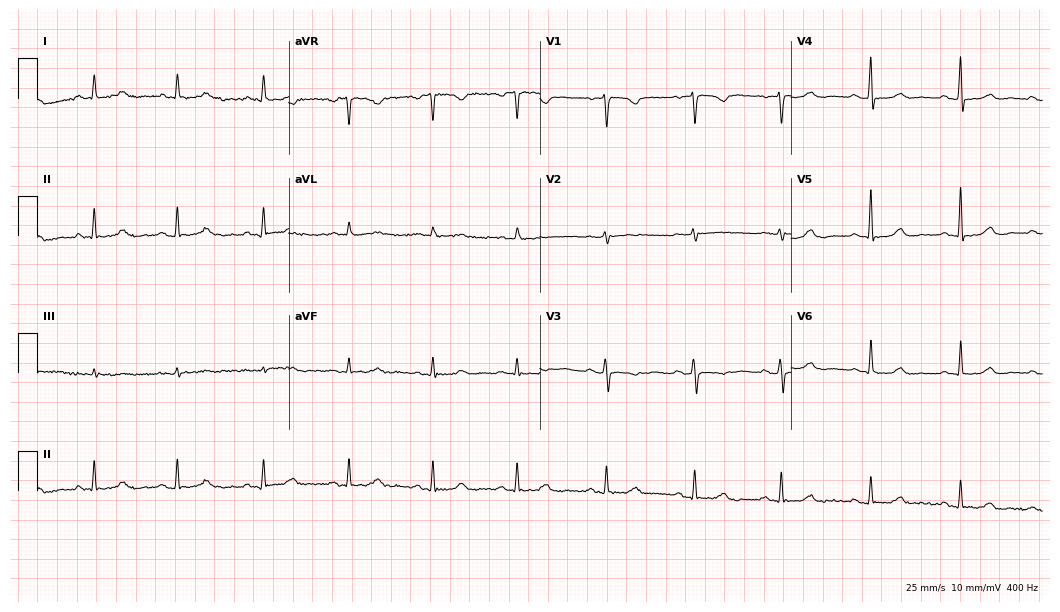
Electrocardiogram (10.2-second recording at 400 Hz), a 52-year-old female patient. Of the six screened findings (first-degree AV block, right bundle branch block (RBBB), left bundle branch block (LBBB), sinus bradycardia, atrial fibrillation (AF), sinus tachycardia), none is recorded.